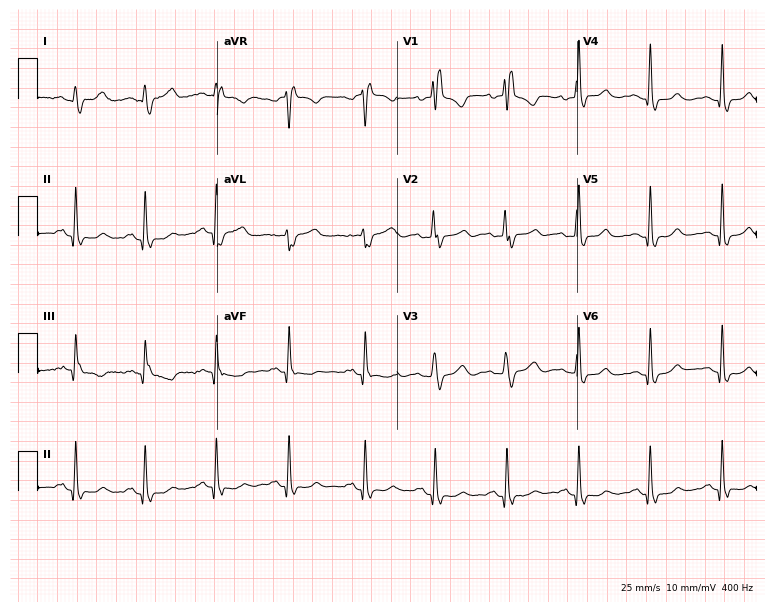
12-lead ECG from a woman, 58 years old. Shows right bundle branch block.